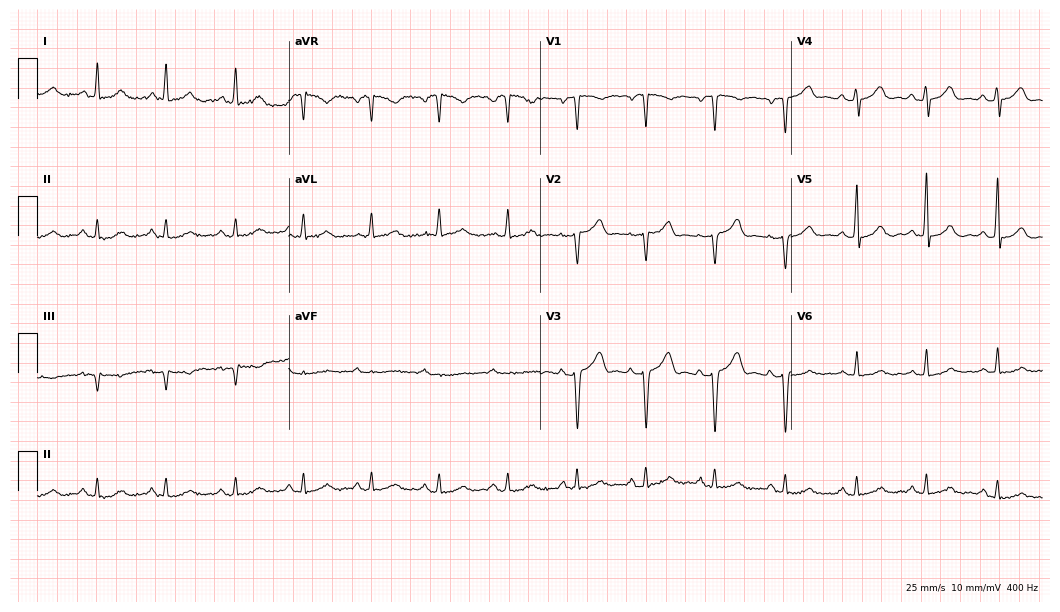
12-lead ECG (10.2-second recording at 400 Hz) from a 73-year-old woman. Screened for six findings — first-degree AV block, right bundle branch block (RBBB), left bundle branch block (LBBB), sinus bradycardia, atrial fibrillation (AF), sinus tachycardia — none is recorded. Other findings, if any, are not listed.